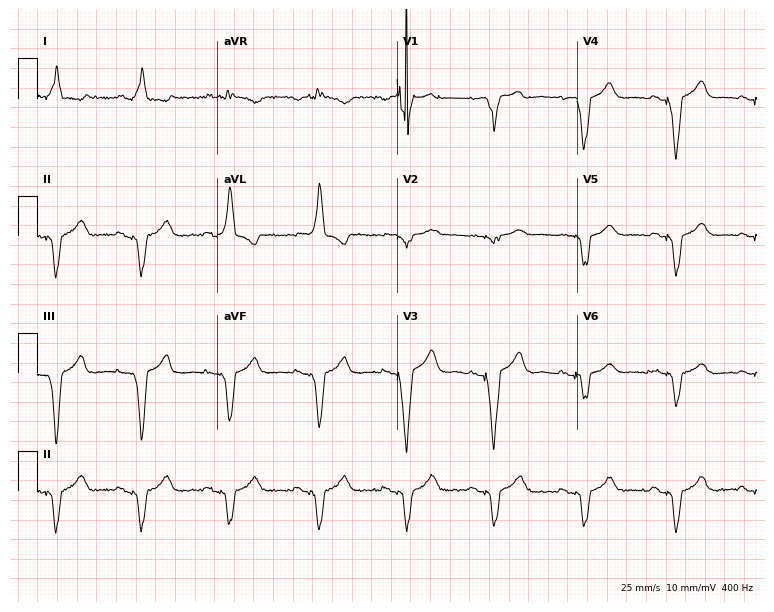
Resting 12-lead electrocardiogram (7.3-second recording at 400 Hz). Patient: a 67-year-old woman. None of these six findings is recorded: first-degree AV block, right bundle branch block (RBBB), left bundle branch block (LBBB), sinus bradycardia, atrial fibrillation (AF), sinus tachycardia. Findings outside these six are not listed.